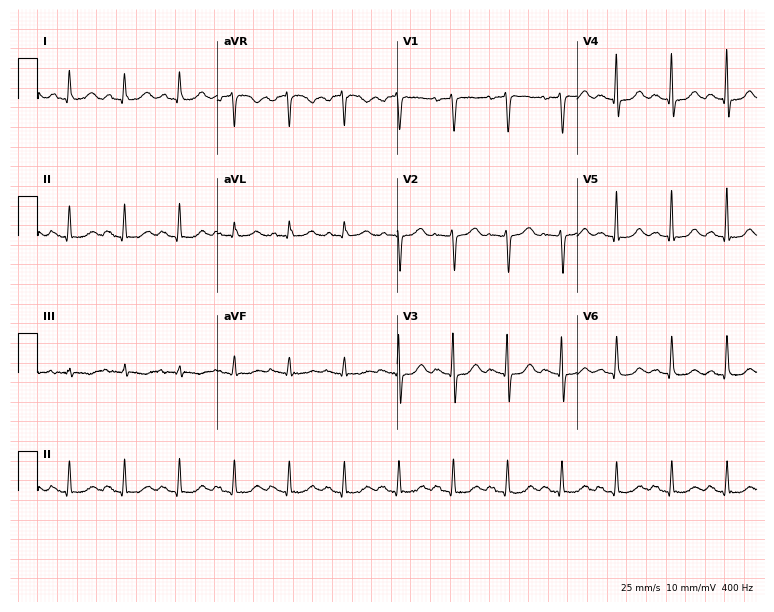
ECG (7.3-second recording at 400 Hz) — a 61-year-old female patient. Findings include sinus tachycardia (a sinus rate of 100 beats per minute or more).